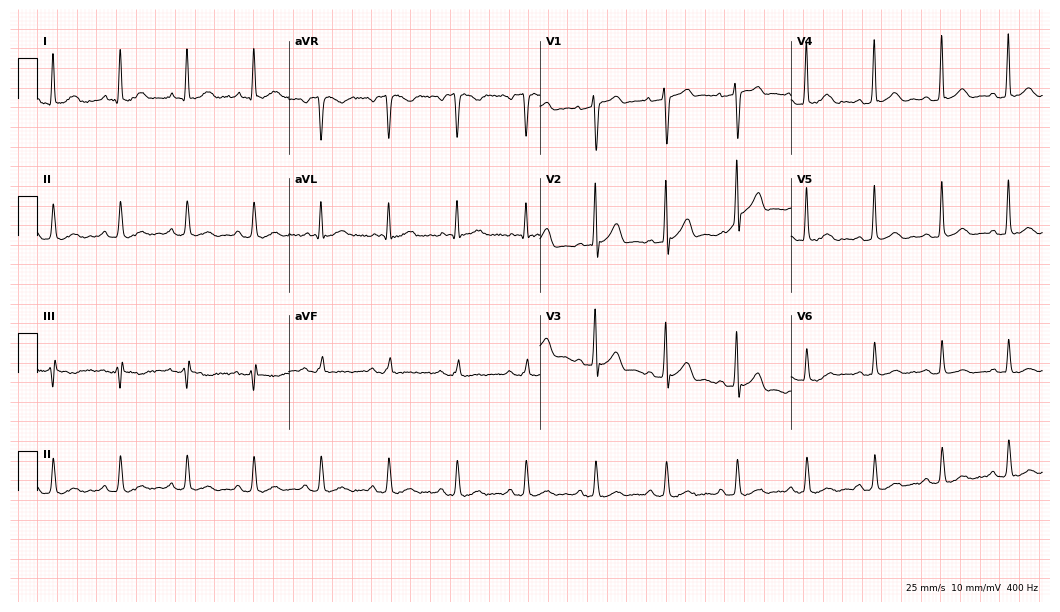
12-lead ECG (10.2-second recording at 400 Hz) from a man, 66 years old. Labelled as a normal ECG.